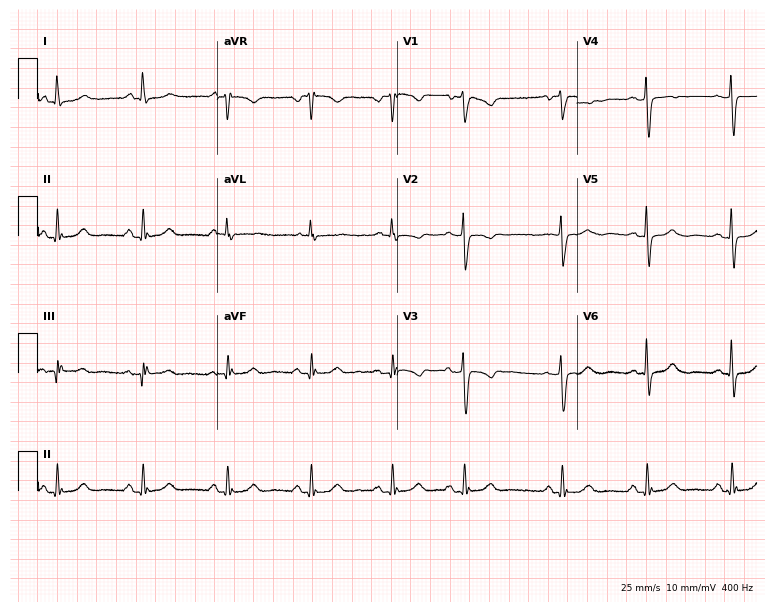
ECG (7.3-second recording at 400 Hz) — a 67-year-old female. Labelled as a normal ECG.